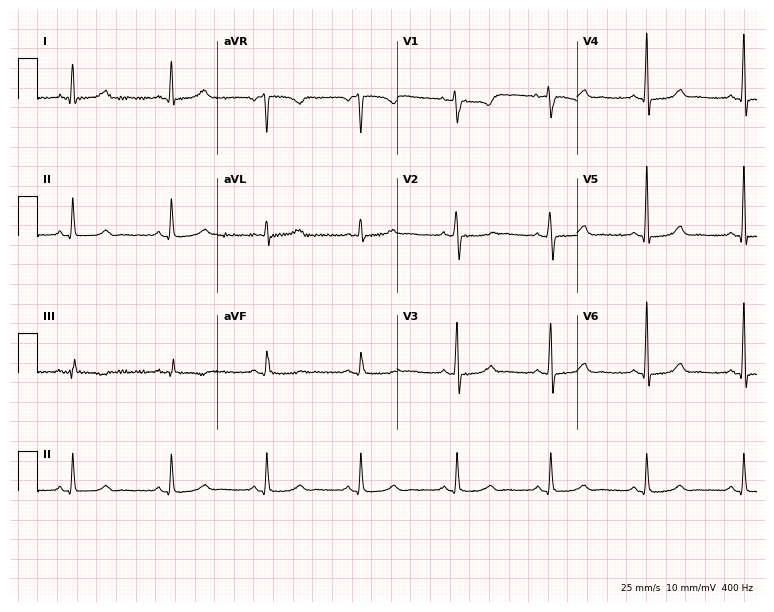
ECG (7.3-second recording at 400 Hz) — a 51-year-old woman. Labelled as a normal ECG.